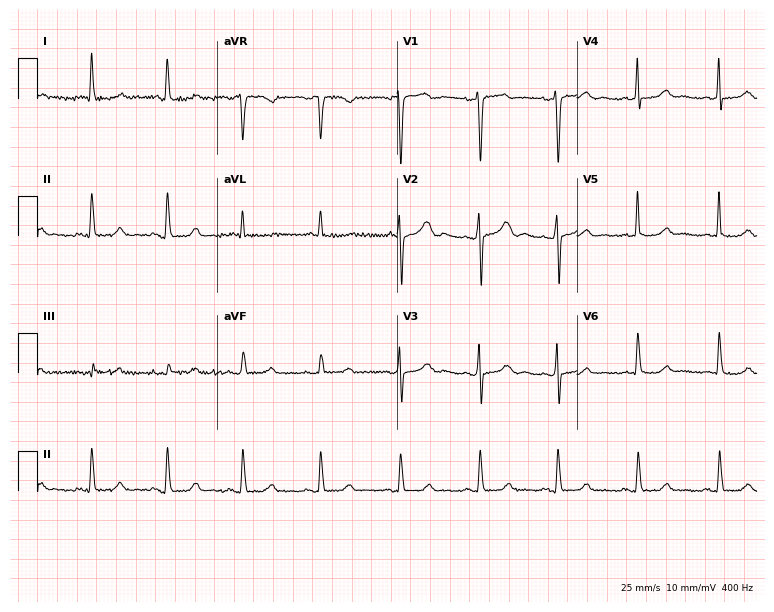
ECG — a female, 47 years old. Labelled as a normal ECG.